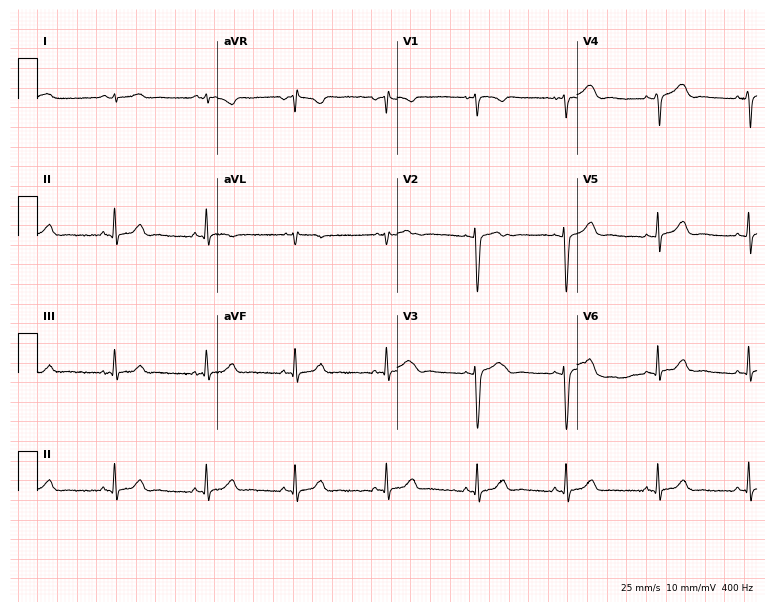
Resting 12-lead electrocardiogram. Patient: a 28-year-old female. None of these six findings is recorded: first-degree AV block, right bundle branch block, left bundle branch block, sinus bradycardia, atrial fibrillation, sinus tachycardia.